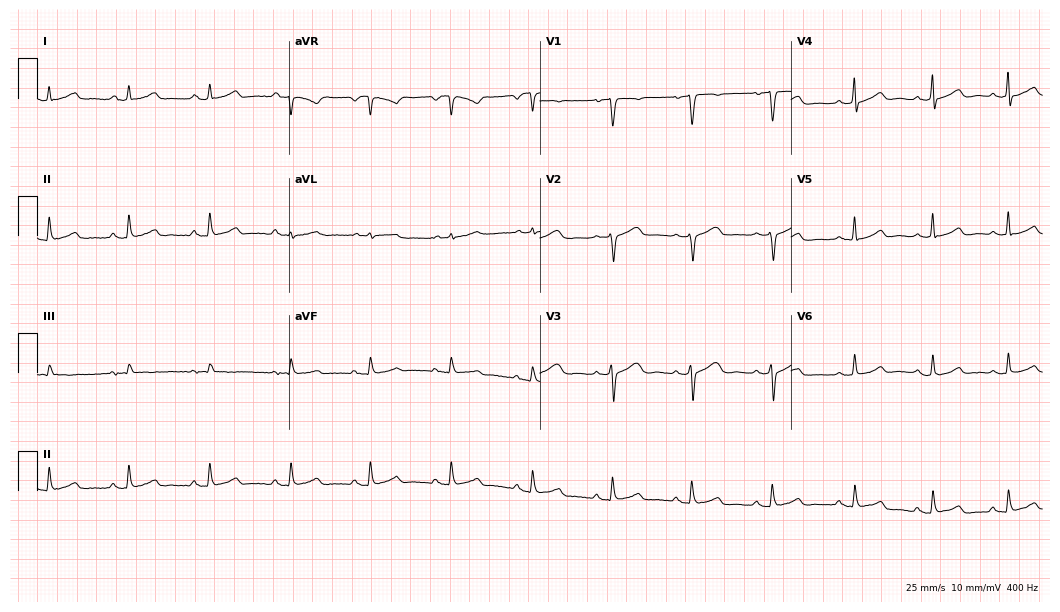
Electrocardiogram (10.2-second recording at 400 Hz), a 52-year-old woman. Overall reading on record: normal ECG.